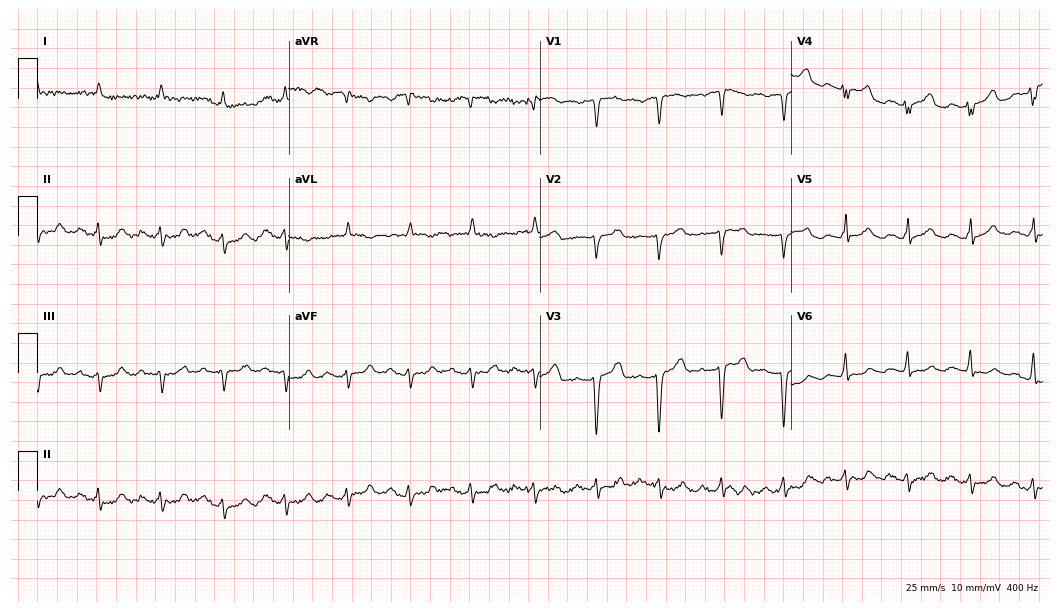
12-lead ECG from an 85-year-old man. Labelled as a normal ECG.